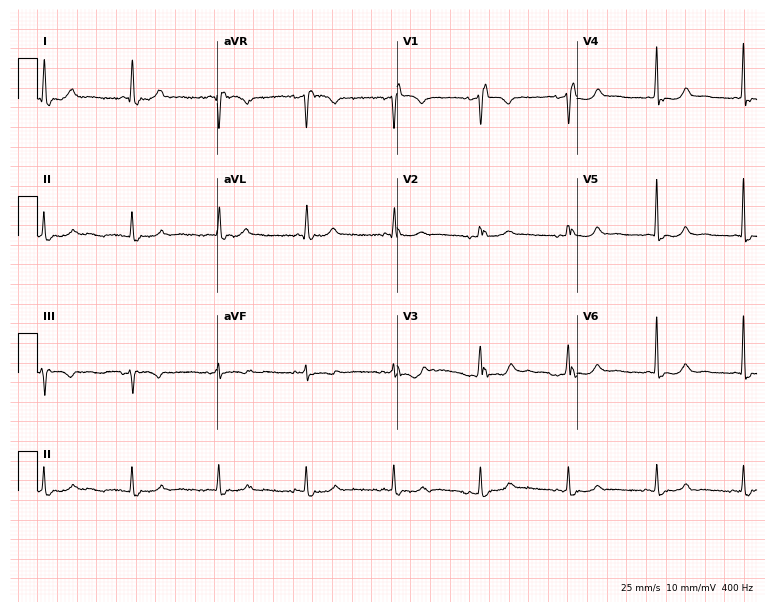
Standard 12-lead ECG recorded from a female, 56 years old. None of these six findings is recorded: first-degree AV block, right bundle branch block, left bundle branch block, sinus bradycardia, atrial fibrillation, sinus tachycardia. Only these six findings were labelled.